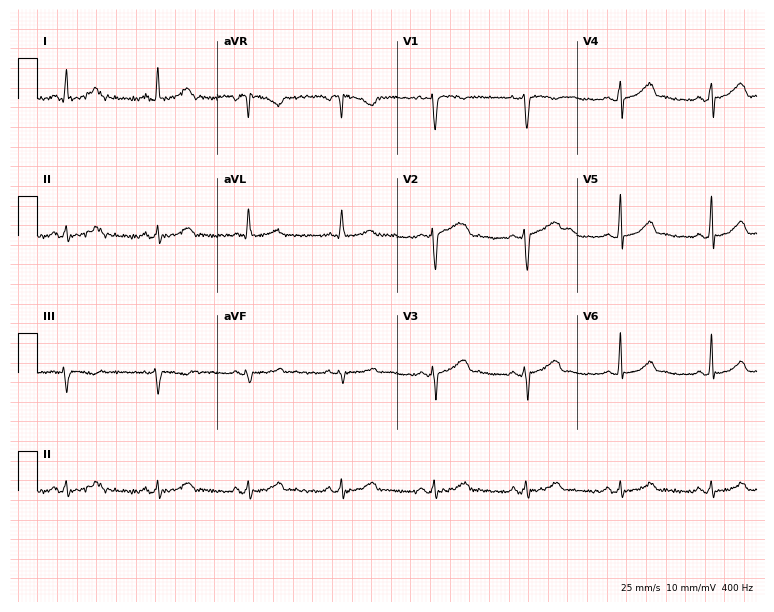
Resting 12-lead electrocardiogram. Patient: a female, 35 years old. None of these six findings is recorded: first-degree AV block, right bundle branch block, left bundle branch block, sinus bradycardia, atrial fibrillation, sinus tachycardia. Findings outside these six are not listed.